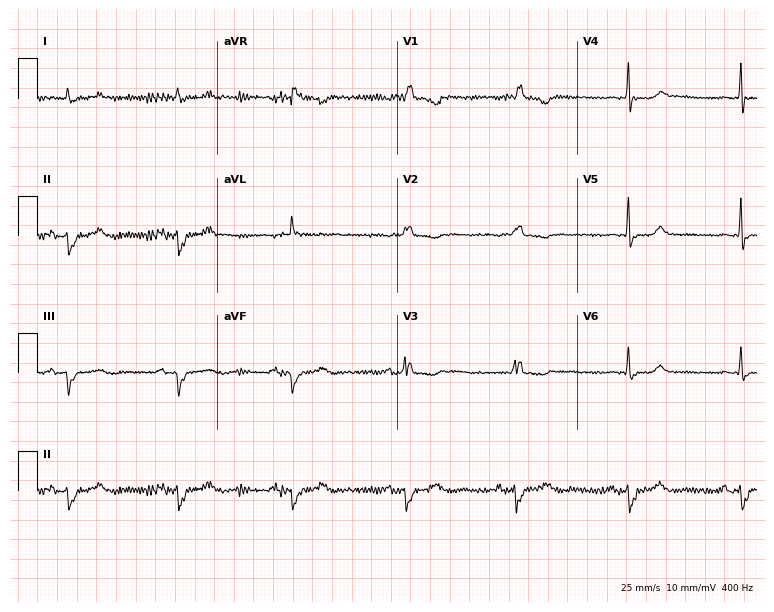
Resting 12-lead electrocardiogram (7.3-second recording at 400 Hz). Patient: a woman, 65 years old. The tracing shows right bundle branch block.